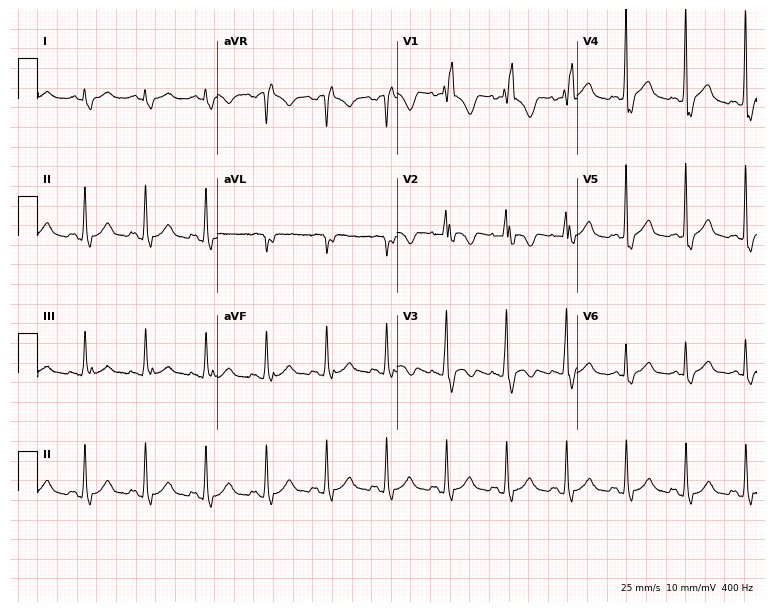
ECG — a male, 53 years old. Findings include right bundle branch block (RBBB).